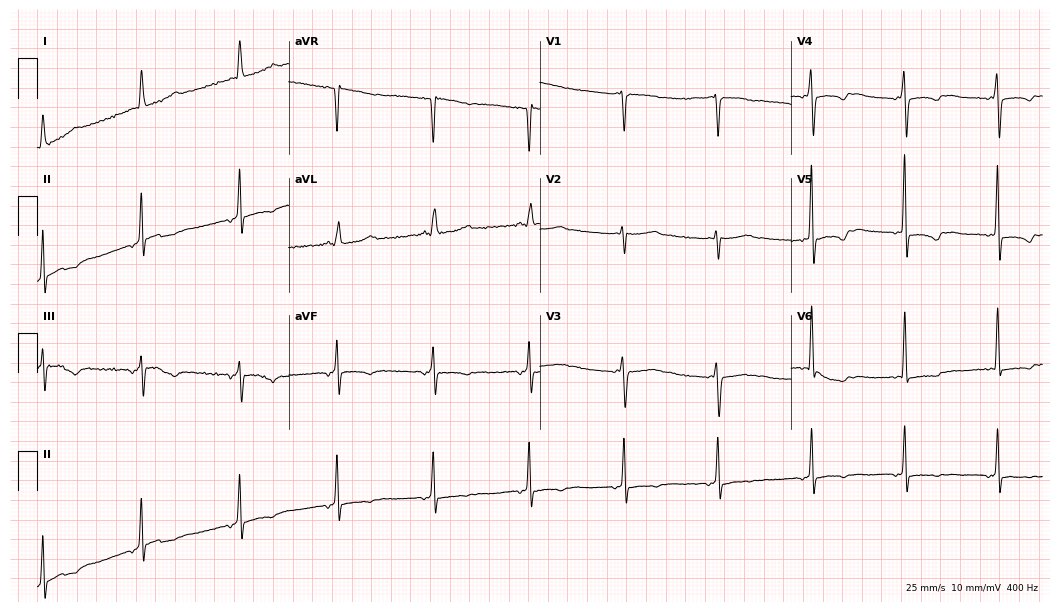
12-lead ECG from a woman, 55 years old (10.2-second recording at 400 Hz). No first-degree AV block, right bundle branch block, left bundle branch block, sinus bradycardia, atrial fibrillation or sinus tachycardia recorded for this tracing. Only these six findings were labelled.